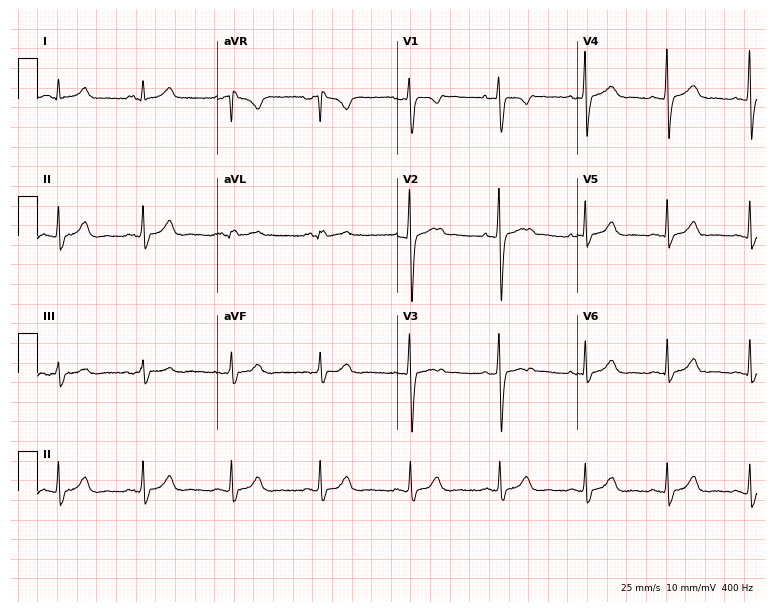
Standard 12-lead ECG recorded from a female, 28 years old. Read as a normal ECG.